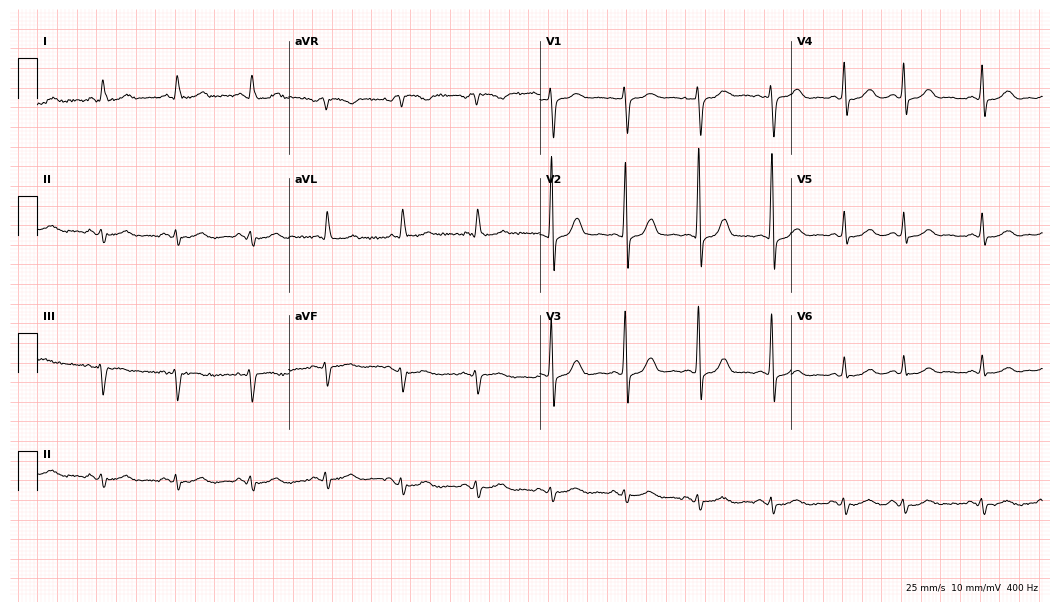
ECG — a 72-year-old male patient. Screened for six findings — first-degree AV block, right bundle branch block, left bundle branch block, sinus bradycardia, atrial fibrillation, sinus tachycardia — none is recorded. Only these six findings were labelled.